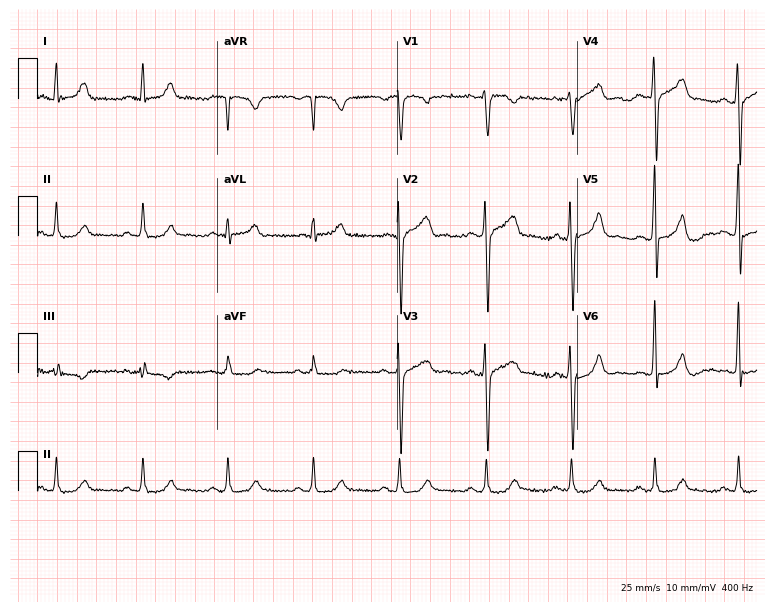
12-lead ECG from a 50-year-old male. Recorded interpretation: within normal limits.